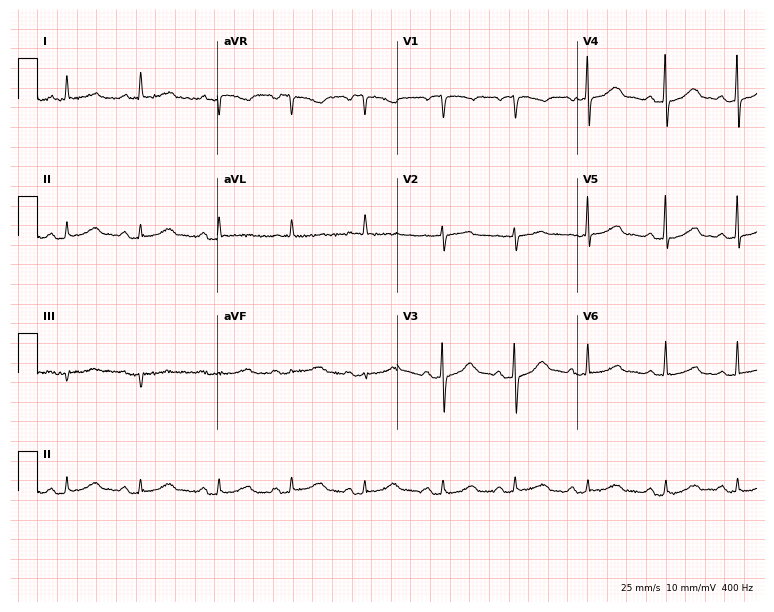
Standard 12-lead ECG recorded from a female, 82 years old. Read as a normal ECG.